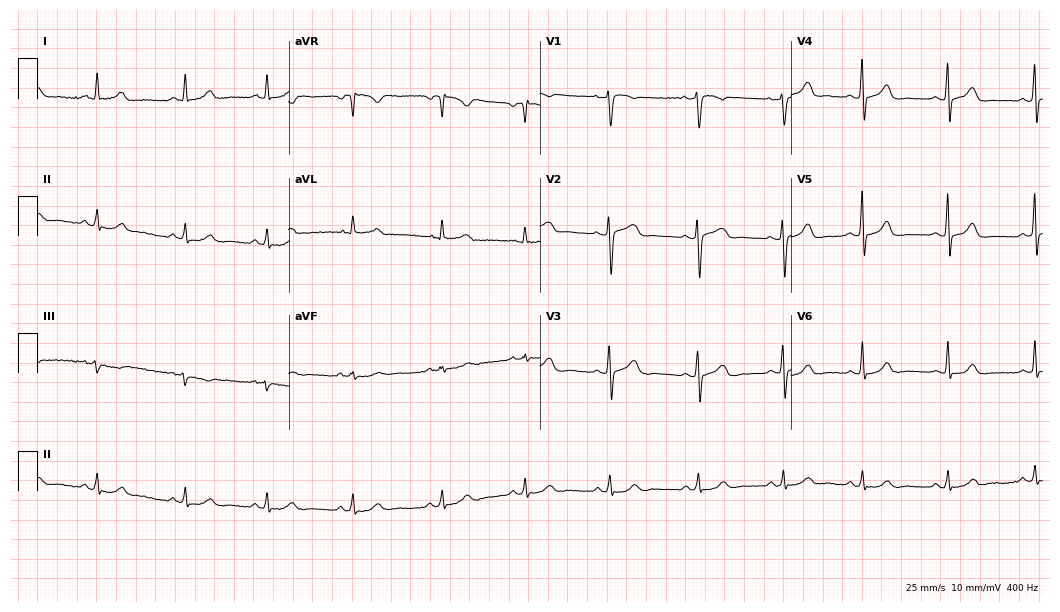
Resting 12-lead electrocardiogram (10.2-second recording at 400 Hz). Patient: a female, 44 years old. Read as a normal ECG.